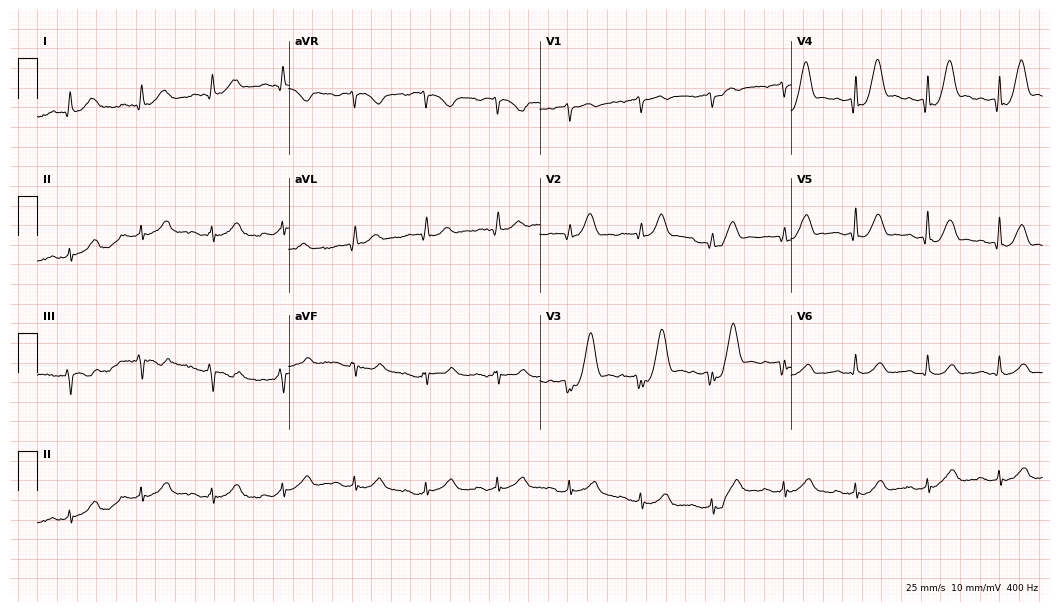
12-lead ECG from an 84-year-old male patient. No first-degree AV block, right bundle branch block, left bundle branch block, sinus bradycardia, atrial fibrillation or sinus tachycardia recorded for this tracing. Other findings, if any, are not listed.